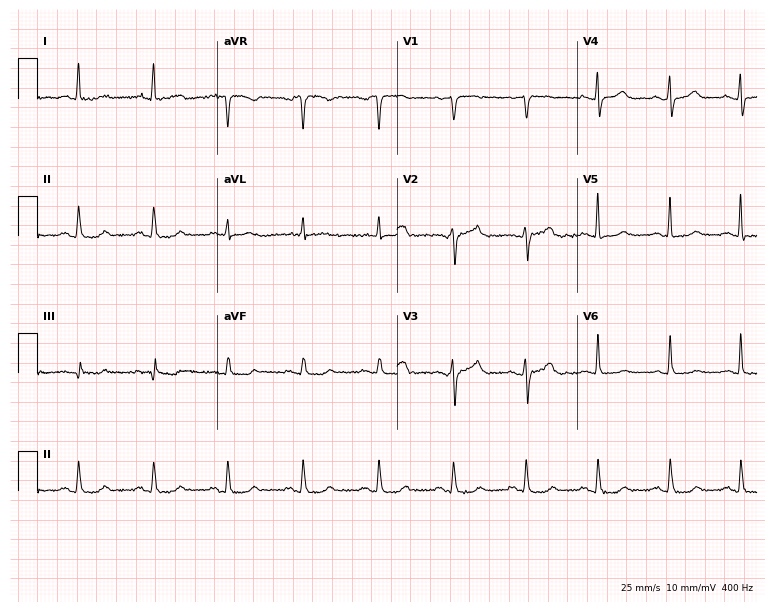
12-lead ECG from a 57-year-old female patient. No first-degree AV block, right bundle branch block, left bundle branch block, sinus bradycardia, atrial fibrillation or sinus tachycardia recorded for this tracing.